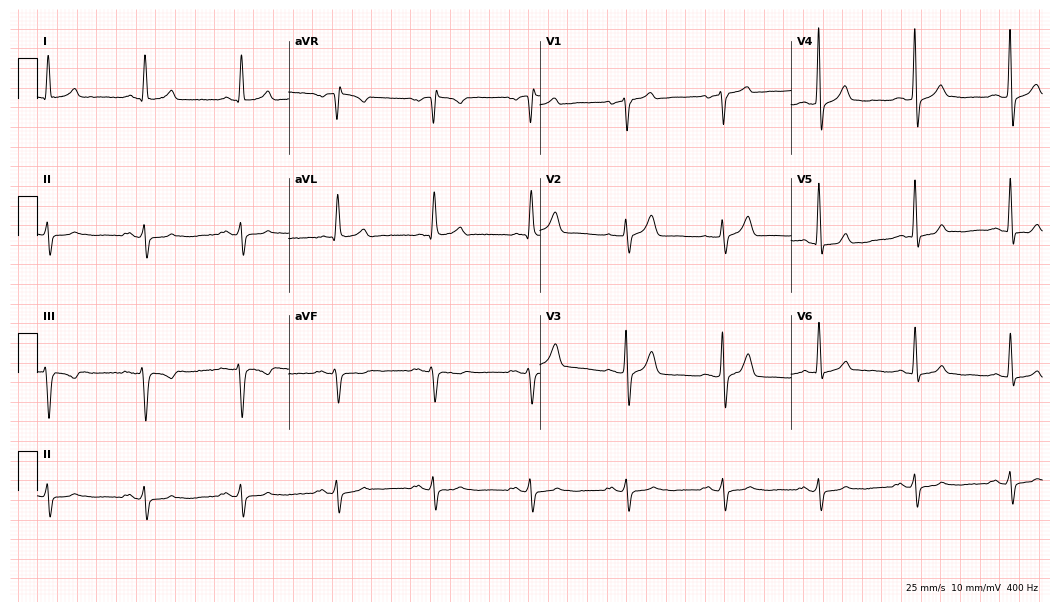
ECG (10.2-second recording at 400 Hz) — a male, 76 years old. Screened for six findings — first-degree AV block, right bundle branch block, left bundle branch block, sinus bradycardia, atrial fibrillation, sinus tachycardia — none is recorded.